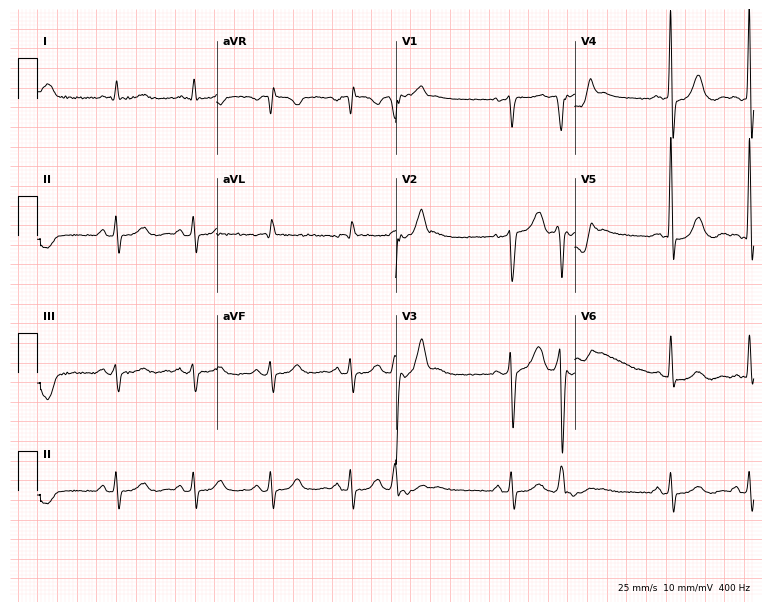
Resting 12-lead electrocardiogram. Patient: a 79-year-old male. None of these six findings is recorded: first-degree AV block, right bundle branch block, left bundle branch block, sinus bradycardia, atrial fibrillation, sinus tachycardia. Other findings, if any, are not listed.